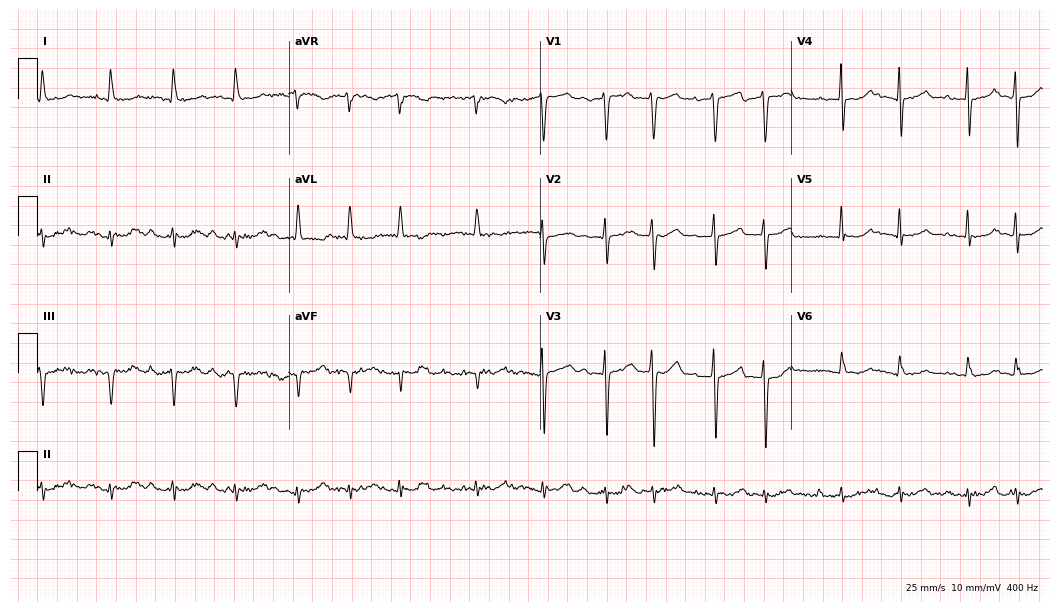
Electrocardiogram, an 85-year-old man. Of the six screened findings (first-degree AV block, right bundle branch block (RBBB), left bundle branch block (LBBB), sinus bradycardia, atrial fibrillation (AF), sinus tachycardia), none is recorded.